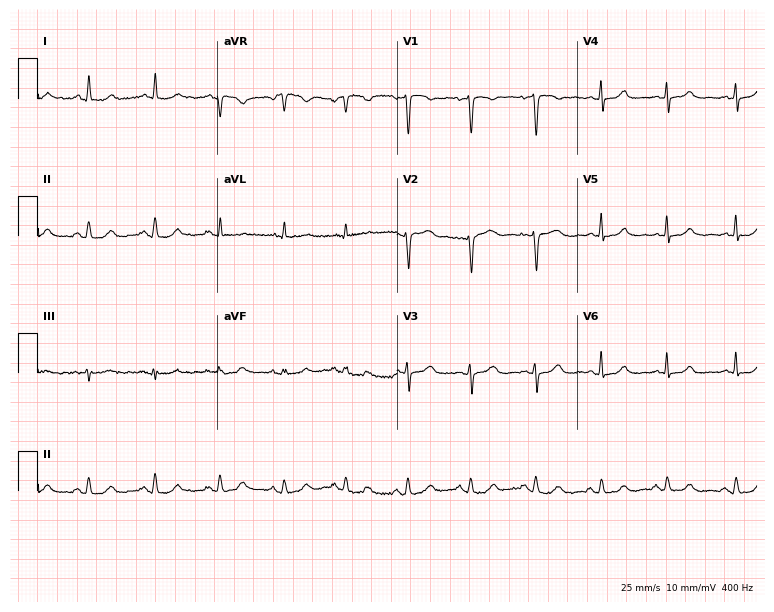
ECG (7.3-second recording at 400 Hz) — a 65-year-old female patient. Labelled as a normal ECG.